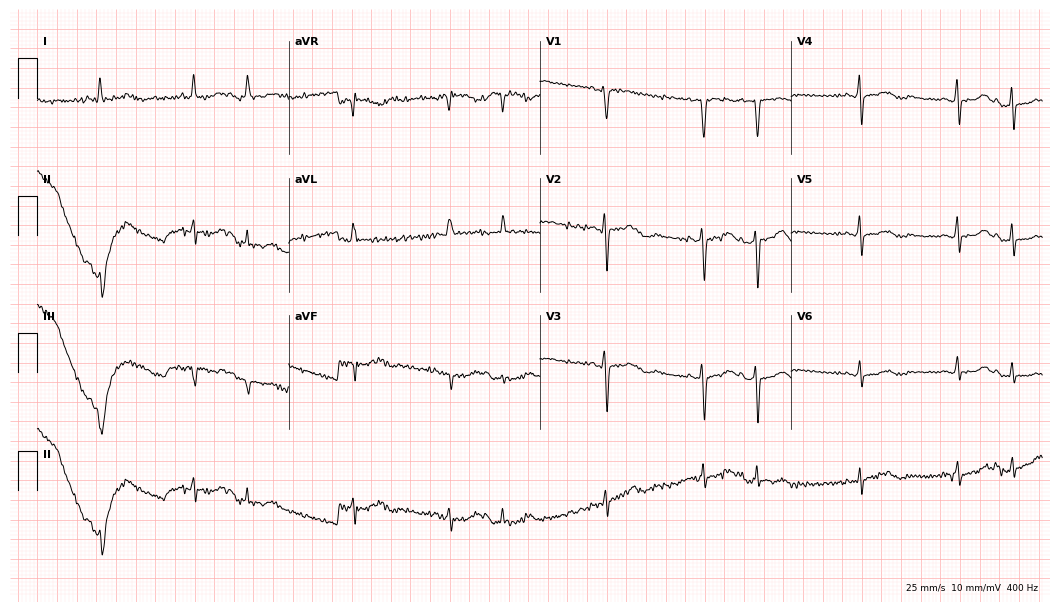
Resting 12-lead electrocardiogram. Patient: an 85-year-old female. None of these six findings is recorded: first-degree AV block, right bundle branch block, left bundle branch block, sinus bradycardia, atrial fibrillation, sinus tachycardia. Only these six findings were labelled.